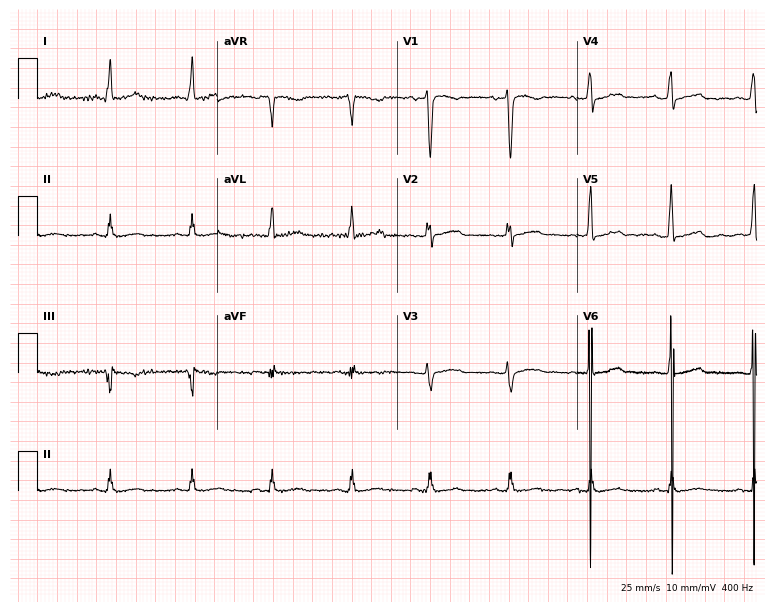
Electrocardiogram (7.3-second recording at 400 Hz), a 47-year-old female. Of the six screened findings (first-degree AV block, right bundle branch block, left bundle branch block, sinus bradycardia, atrial fibrillation, sinus tachycardia), none is recorded. Findings outside these six are not listed.